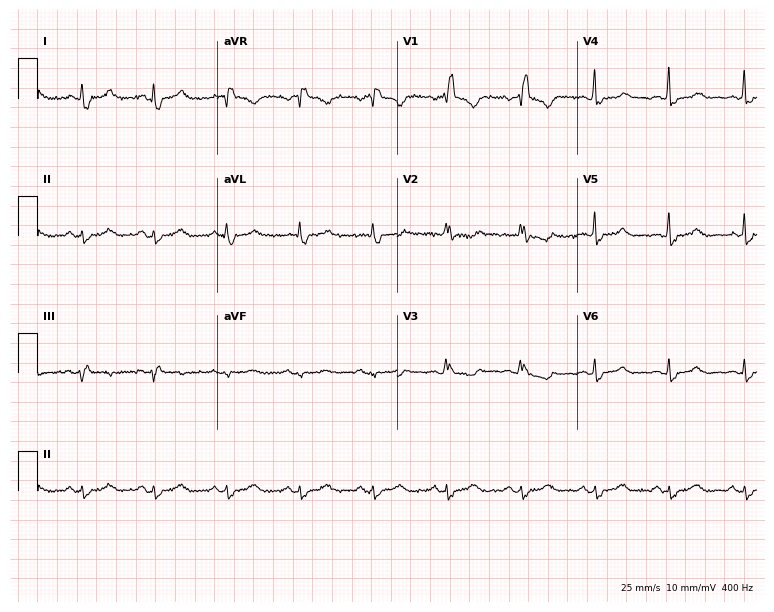
Resting 12-lead electrocardiogram (7.3-second recording at 400 Hz). Patient: a 46-year-old female. The tracing shows right bundle branch block.